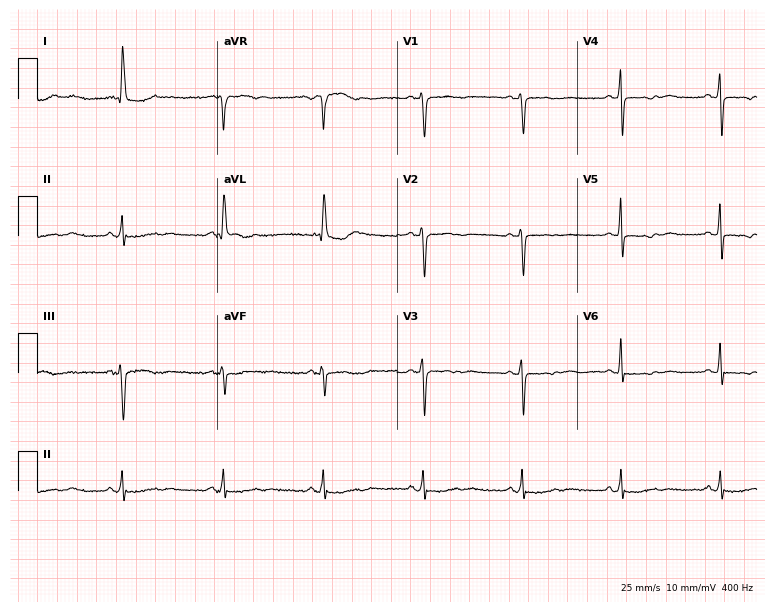
Resting 12-lead electrocardiogram. Patient: a 72-year-old woman. None of these six findings is recorded: first-degree AV block, right bundle branch block, left bundle branch block, sinus bradycardia, atrial fibrillation, sinus tachycardia. Findings outside these six are not listed.